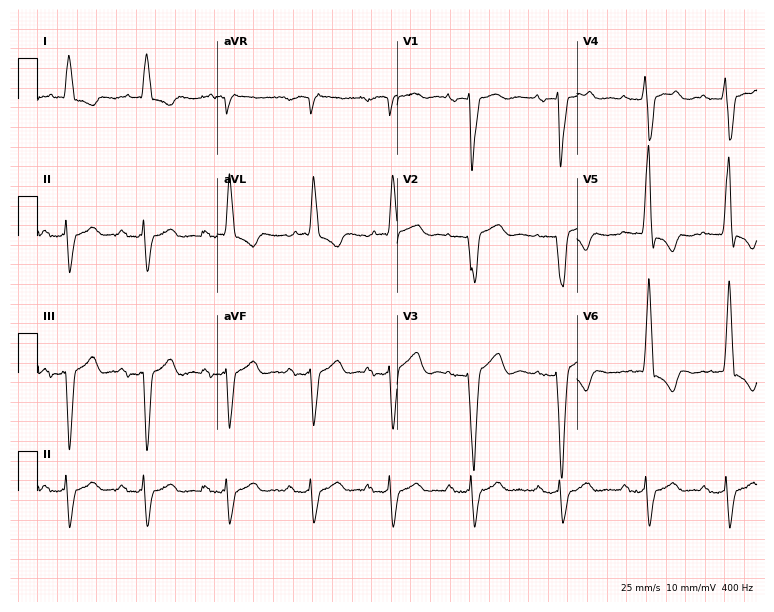
Electrocardiogram (7.3-second recording at 400 Hz), a male, 74 years old. Interpretation includes first-degree AV block, left bundle branch block (LBBB).